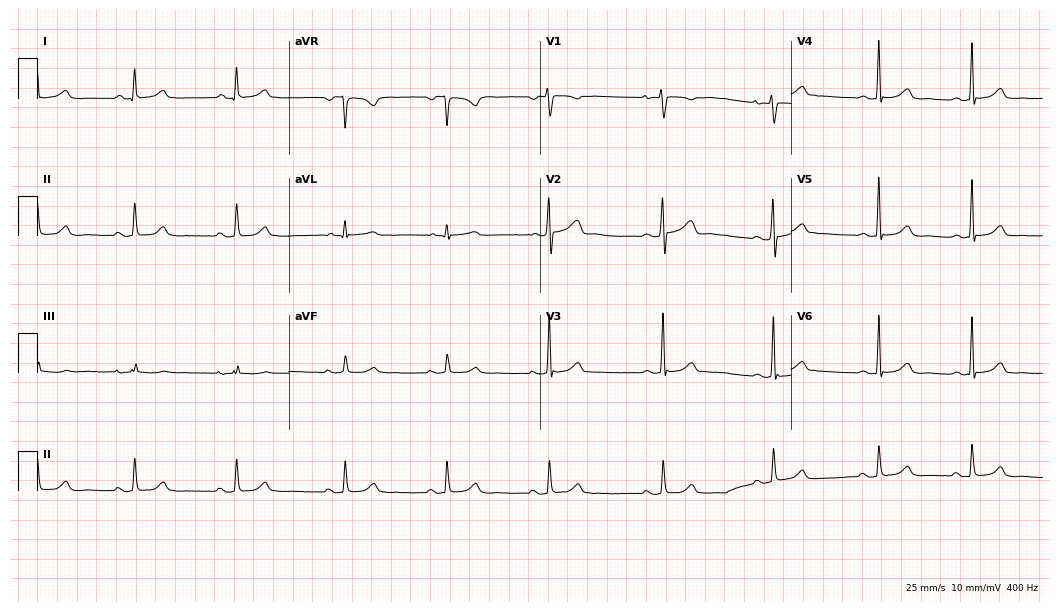
ECG (10.2-second recording at 400 Hz) — a woman, 22 years old. Labelled as a normal ECG.